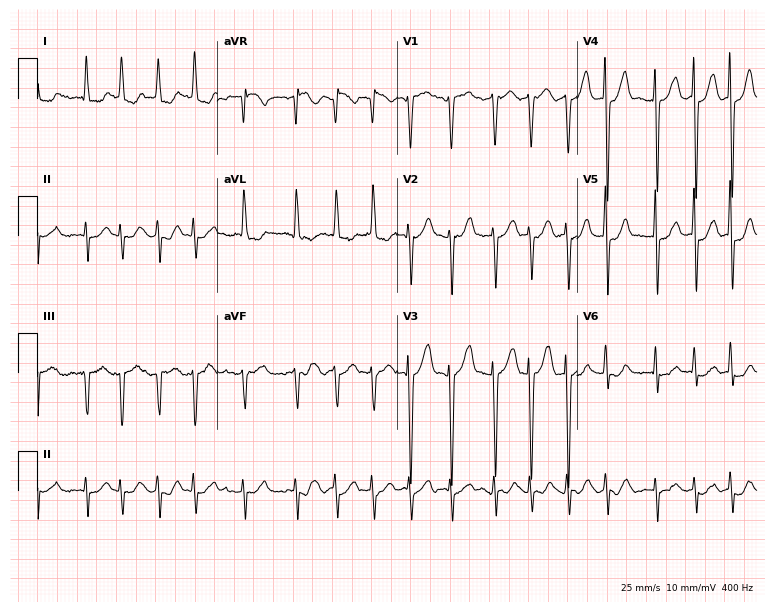
Resting 12-lead electrocardiogram. Patient: a female, 79 years old. The tracing shows atrial fibrillation.